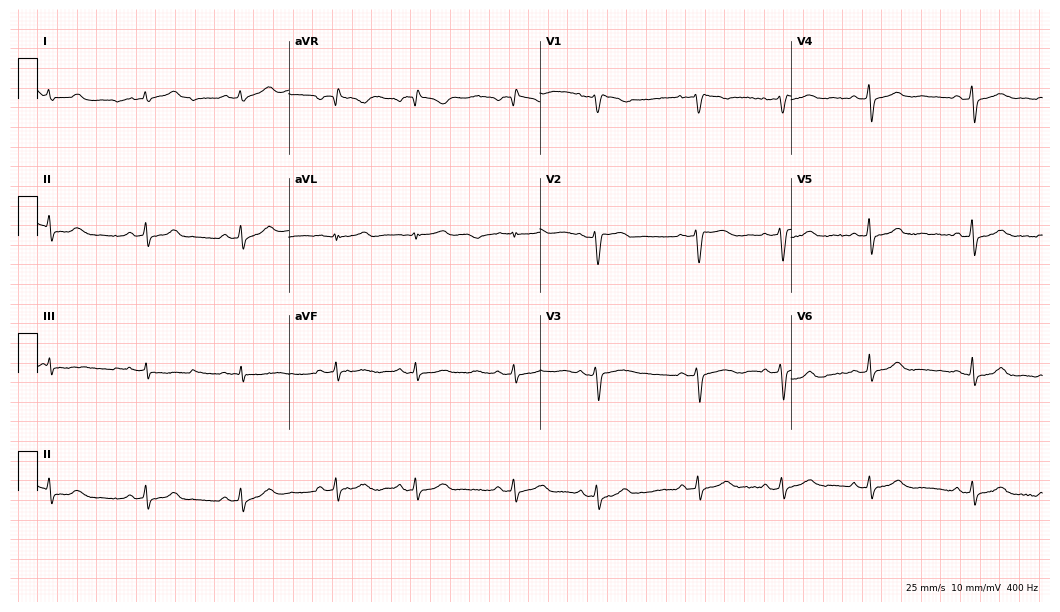
12-lead ECG from a woman, 49 years old. No first-degree AV block, right bundle branch block, left bundle branch block, sinus bradycardia, atrial fibrillation or sinus tachycardia recorded for this tracing.